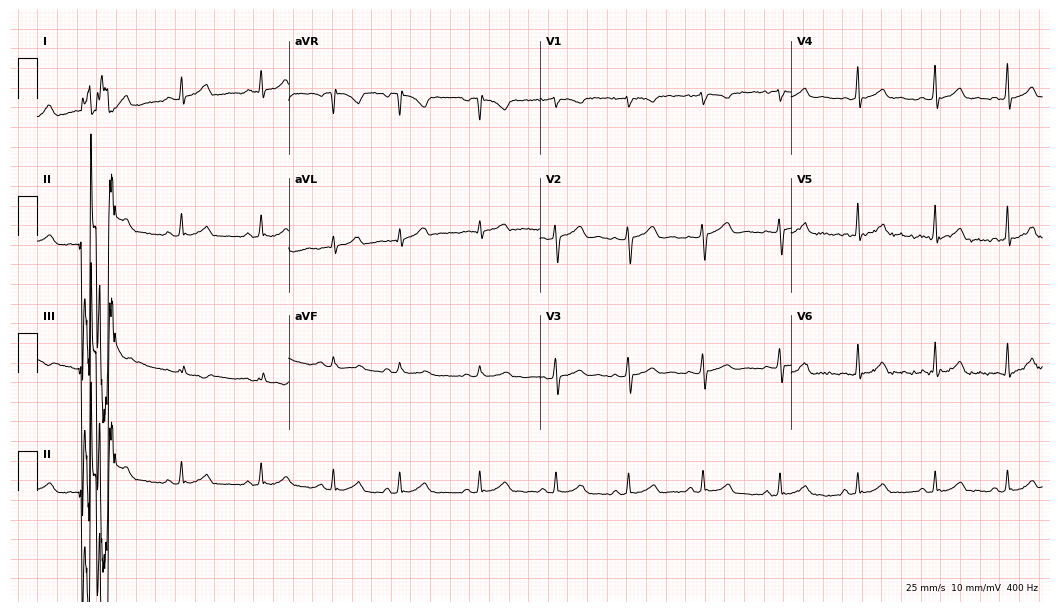
Standard 12-lead ECG recorded from a 19-year-old female patient (10.2-second recording at 400 Hz). Read as a normal ECG.